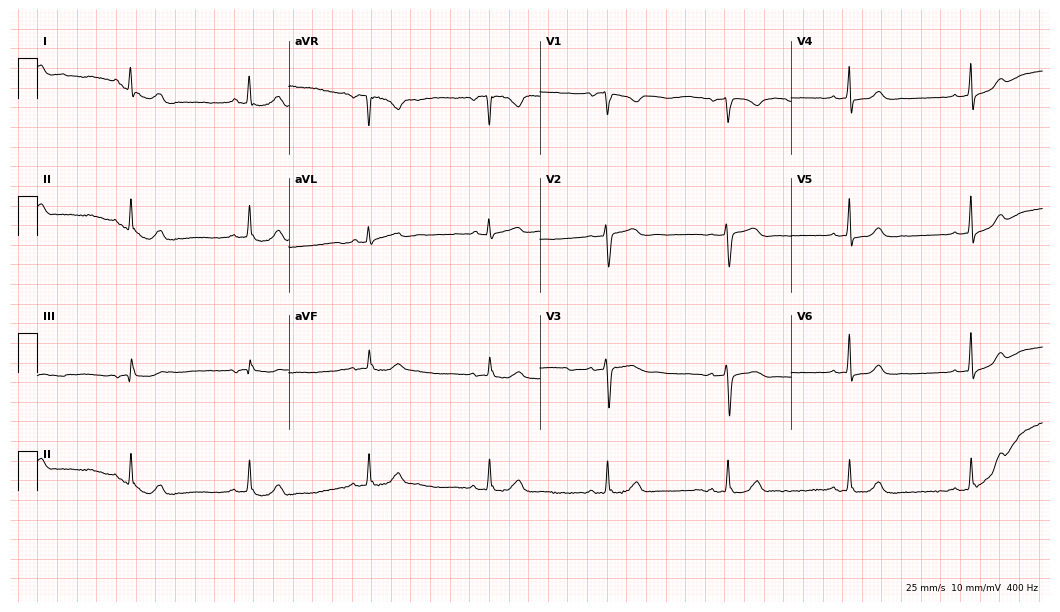
12-lead ECG (10.2-second recording at 400 Hz) from a female, 58 years old. Findings include sinus bradycardia (a sinus rate of 50 beats per minute or less).